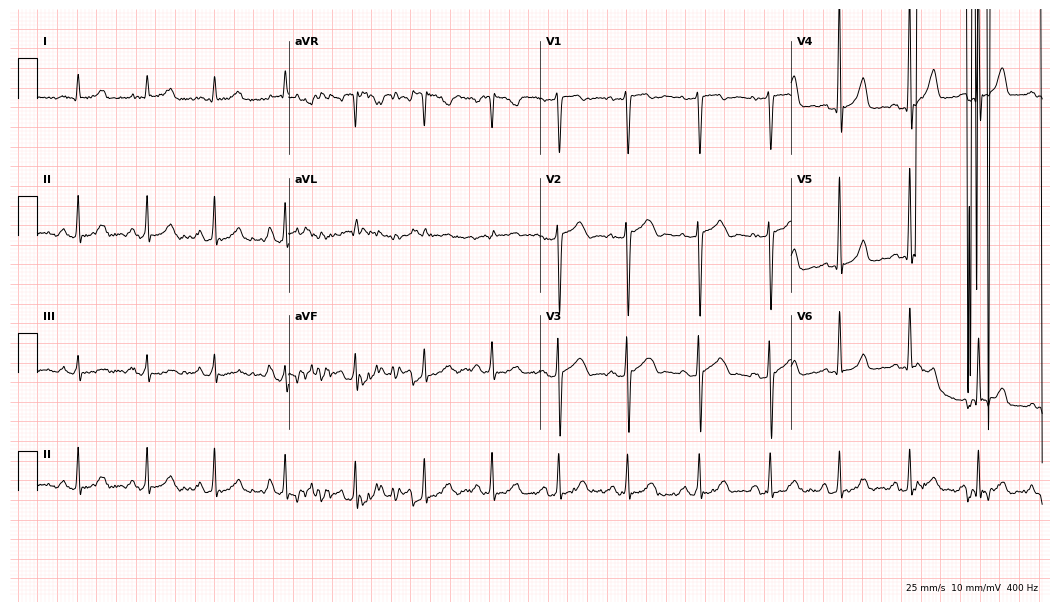
Resting 12-lead electrocardiogram. Patient: a male, 38 years old. None of these six findings is recorded: first-degree AV block, right bundle branch block, left bundle branch block, sinus bradycardia, atrial fibrillation, sinus tachycardia.